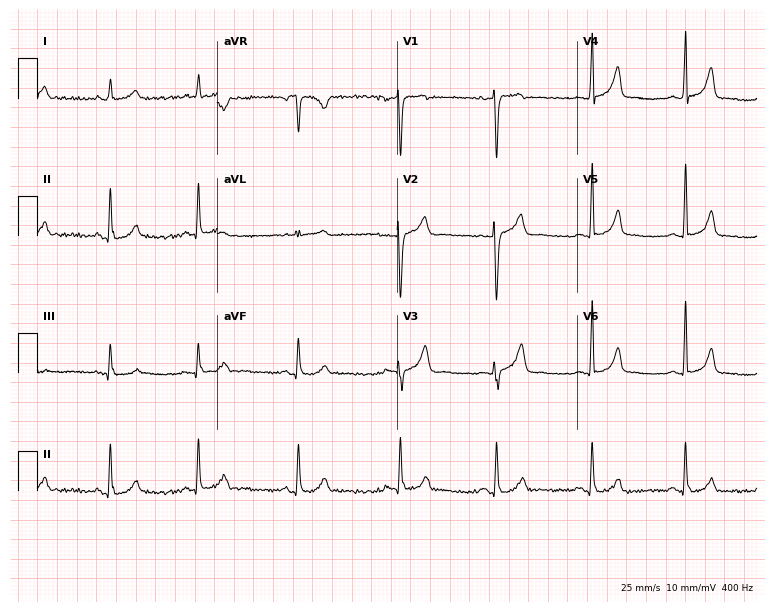
12-lead ECG (7.3-second recording at 400 Hz) from a female patient, 37 years old. Labelled as a normal ECG.